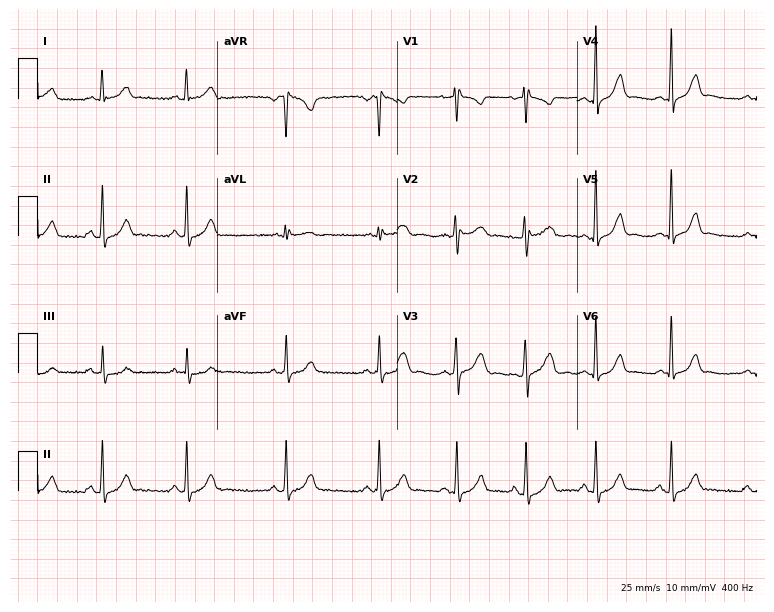
Electrocardiogram, a 36-year-old female. Overall reading on record: normal ECG.